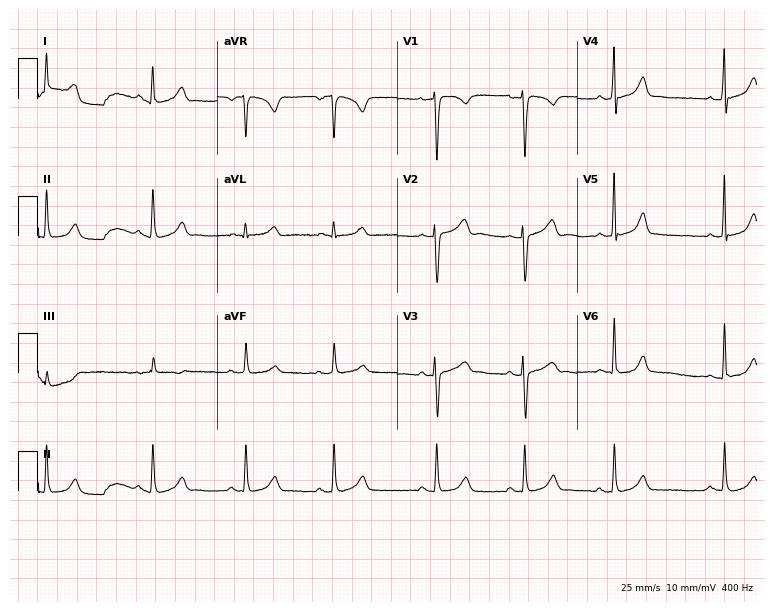
Resting 12-lead electrocardiogram (7.3-second recording at 400 Hz). Patient: a 19-year-old female. None of these six findings is recorded: first-degree AV block, right bundle branch block (RBBB), left bundle branch block (LBBB), sinus bradycardia, atrial fibrillation (AF), sinus tachycardia.